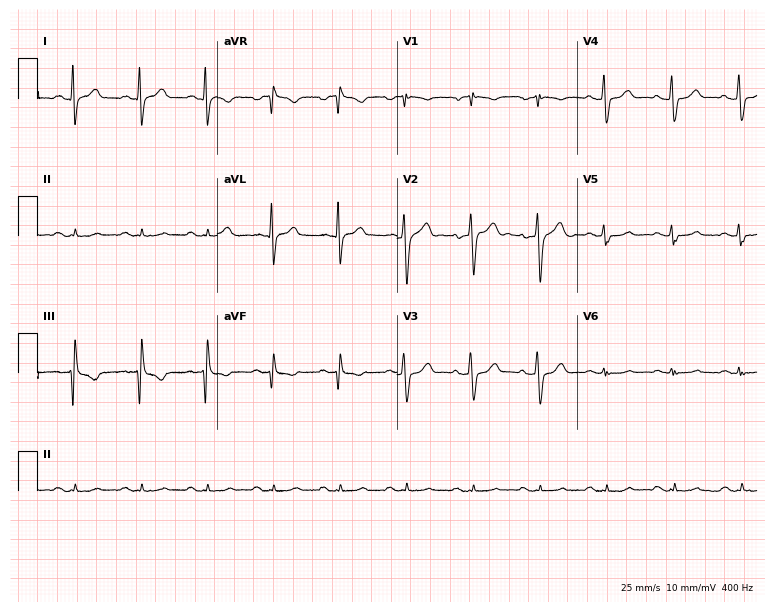
Standard 12-lead ECG recorded from a 61-year-old male (7.3-second recording at 400 Hz). None of these six findings is recorded: first-degree AV block, right bundle branch block (RBBB), left bundle branch block (LBBB), sinus bradycardia, atrial fibrillation (AF), sinus tachycardia. Only these six findings were labelled.